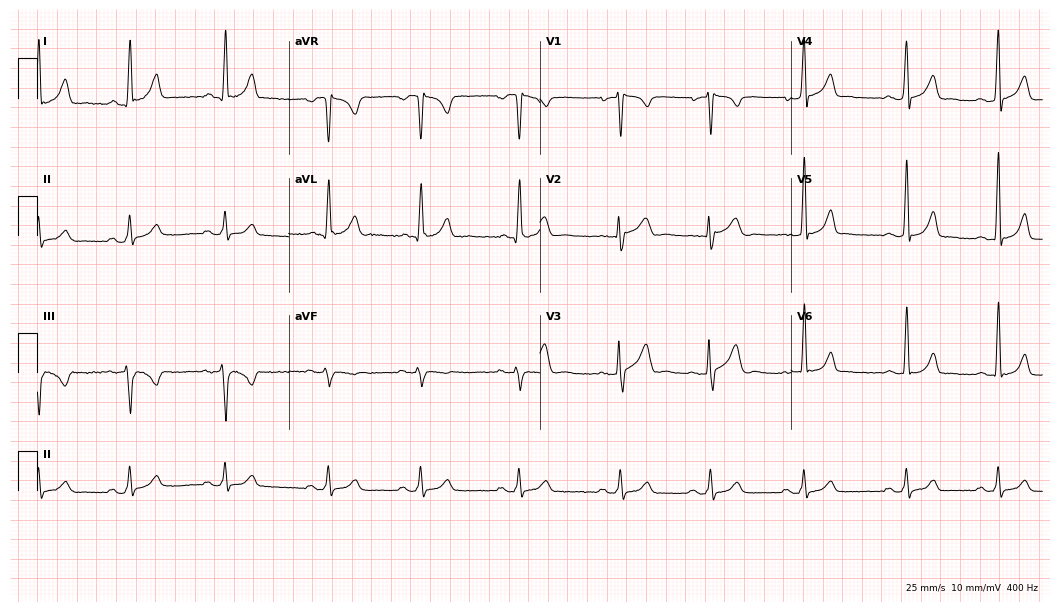
12-lead ECG from a male, 30 years old. Labelled as a normal ECG.